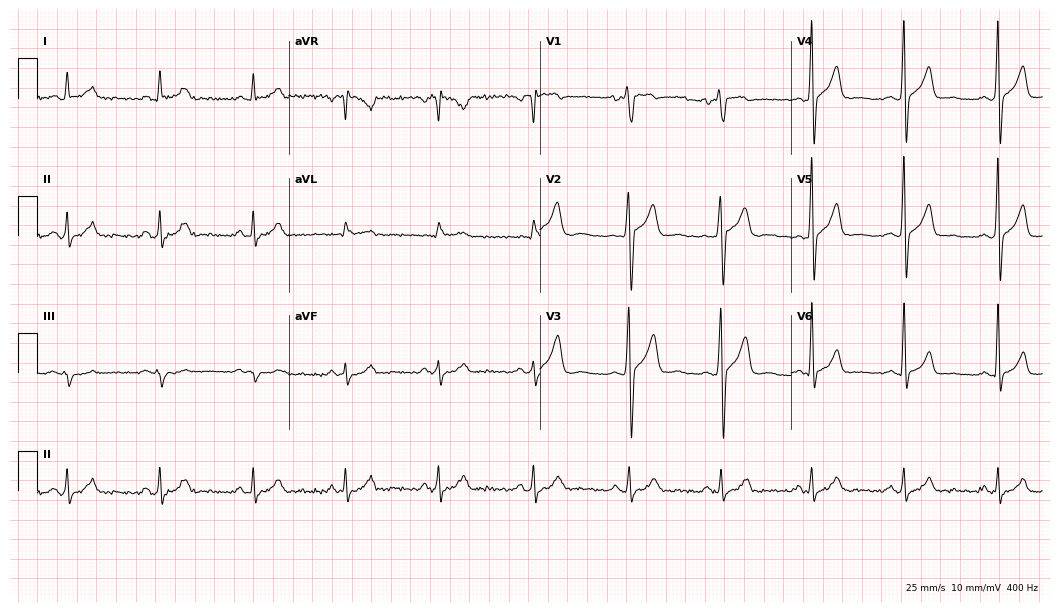
ECG — a male, 36 years old. Screened for six findings — first-degree AV block, right bundle branch block, left bundle branch block, sinus bradycardia, atrial fibrillation, sinus tachycardia — none is recorded. Other findings, if any, are not listed.